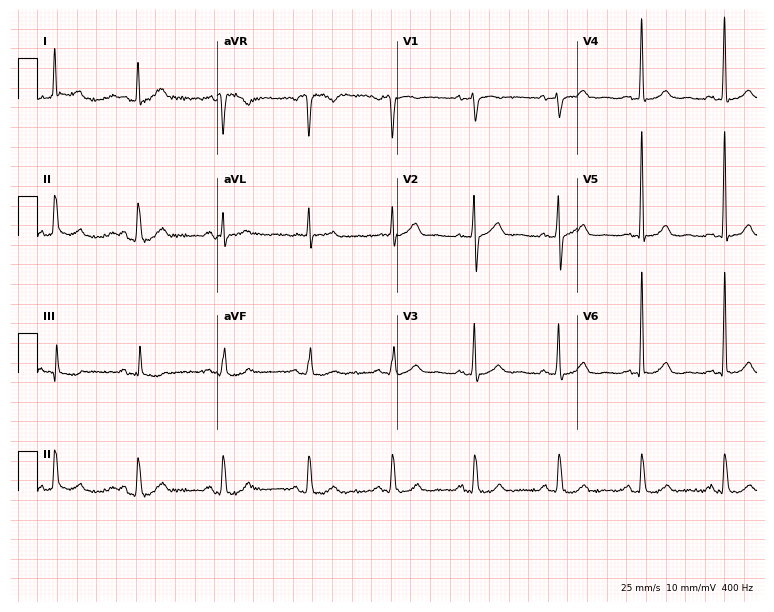
Standard 12-lead ECG recorded from a male patient, 68 years old (7.3-second recording at 400 Hz). Read as a normal ECG.